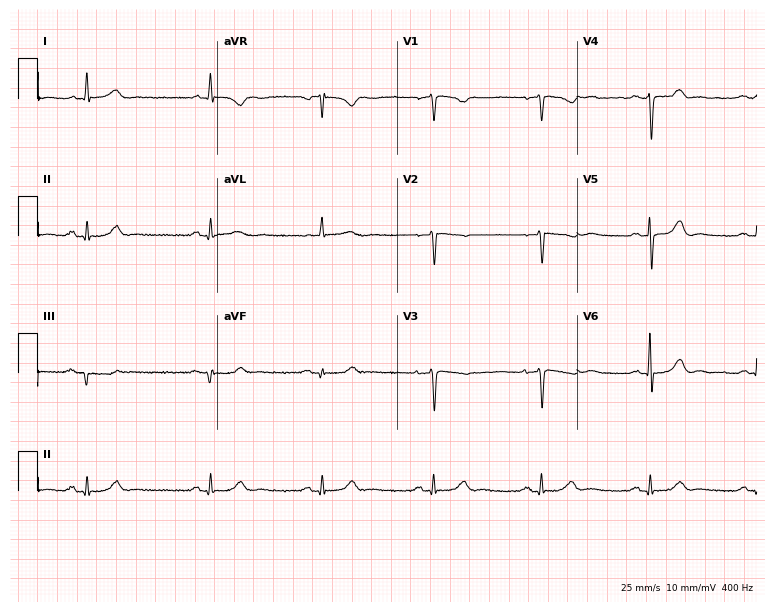
12-lead ECG from a female patient, 73 years old. Labelled as a normal ECG.